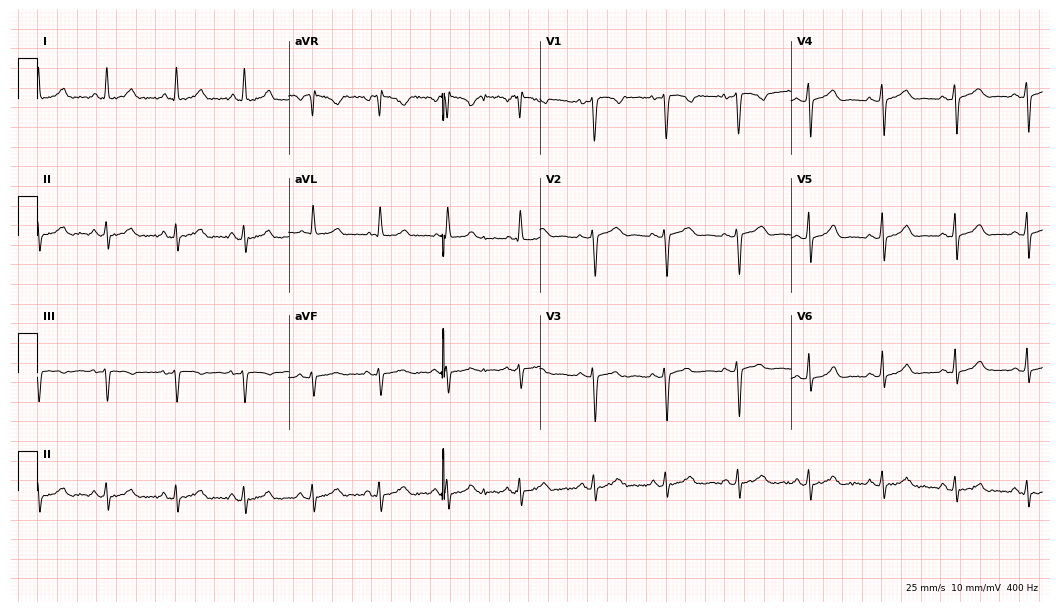
ECG — a 21-year-old woman. Screened for six findings — first-degree AV block, right bundle branch block, left bundle branch block, sinus bradycardia, atrial fibrillation, sinus tachycardia — none is recorded. Findings outside these six are not listed.